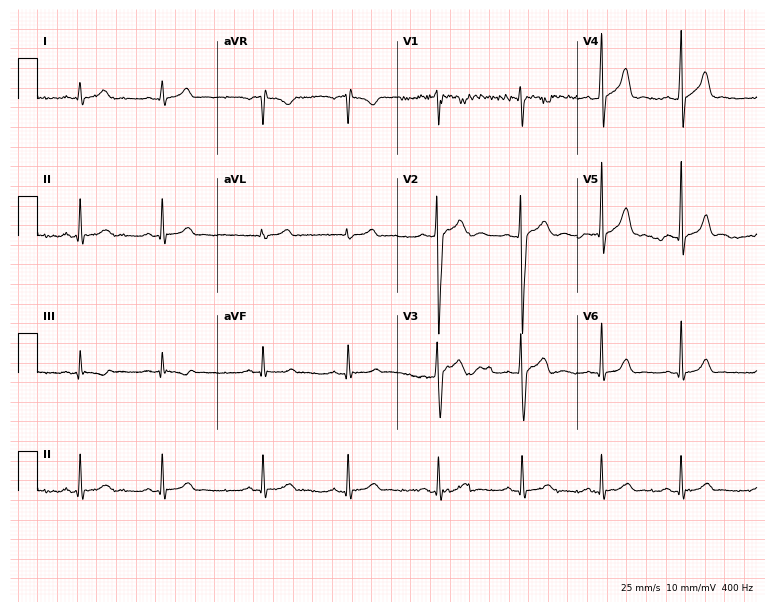
Standard 12-lead ECG recorded from a 22-year-old male (7.3-second recording at 400 Hz). Read as a normal ECG.